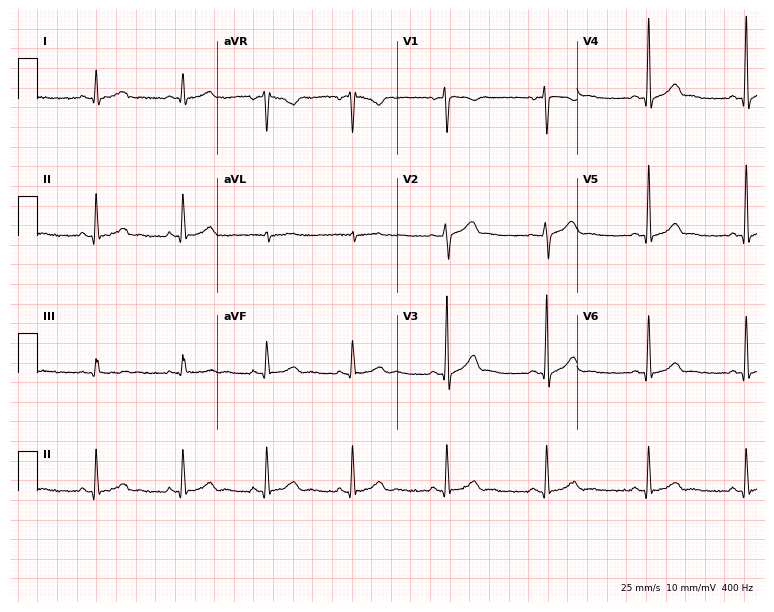
12-lead ECG (7.3-second recording at 400 Hz) from a 45-year-old male patient. Screened for six findings — first-degree AV block, right bundle branch block, left bundle branch block, sinus bradycardia, atrial fibrillation, sinus tachycardia — none is recorded. Other findings, if any, are not listed.